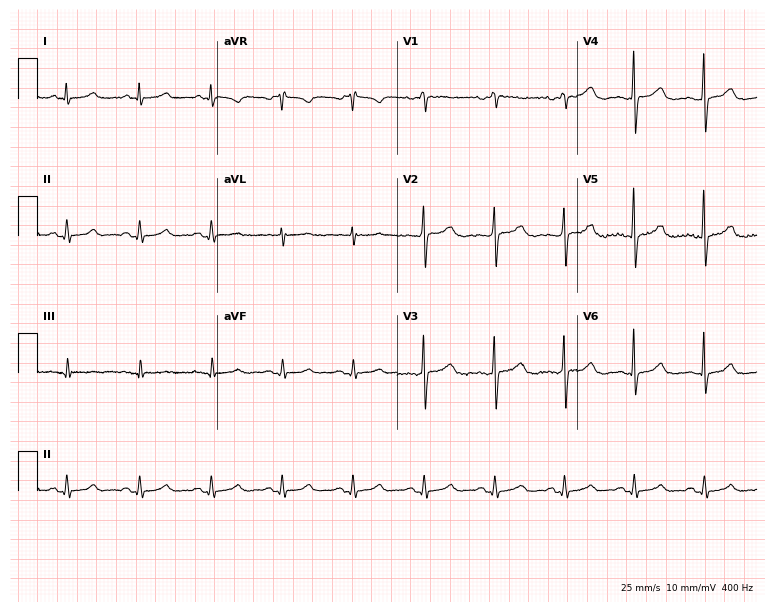
Resting 12-lead electrocardiogram. Patient: a female, 66 years old. Read as a normal ECG.